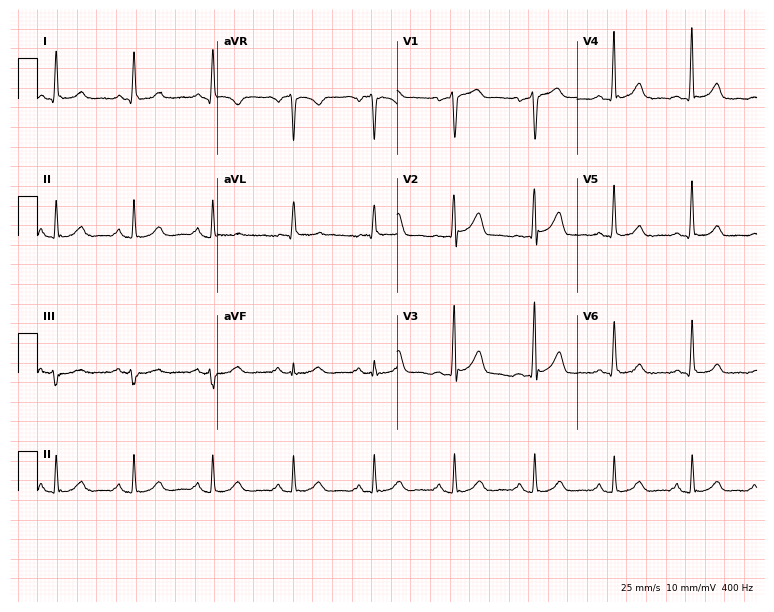
ECG — a male, 69 years old. Screened for six findings — first-degree AV block, right bundle branch block, left bundle branch block, sinus bradycardia, atrial fibrillation, sinus tachycardia — none is recorded. Other findings, if any, are not listed.